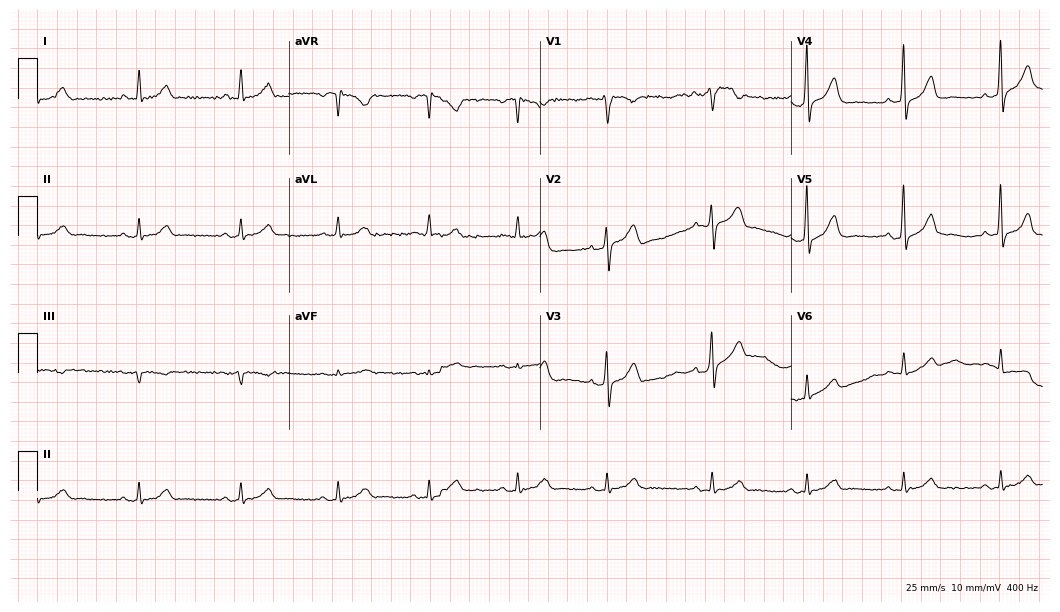
Resting 12-lead electrocardiogram (10.2-second recording at 400 Hz). Patient: a man, 51 years old. Read as a normal ECG.